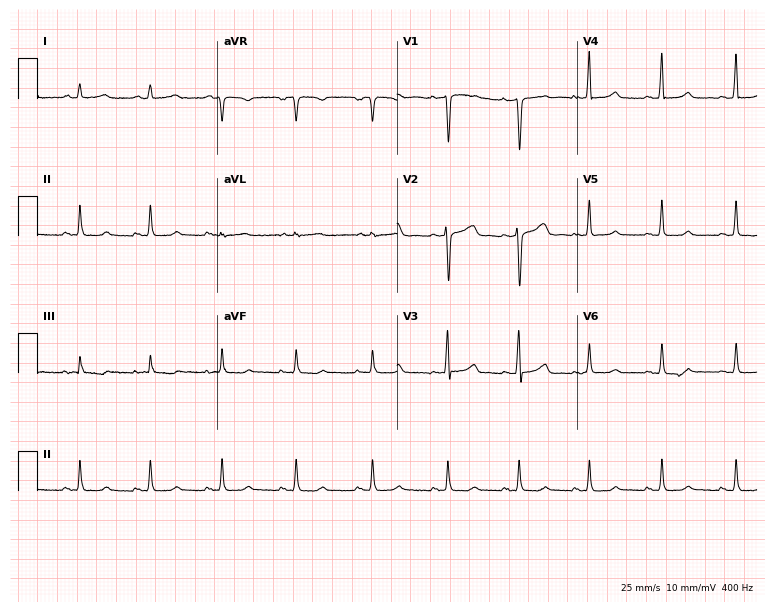
Electrocardiogram (7.3-second recording at 400 Hz), a 43-year-old woman. Overall reading on record: normal ECG.